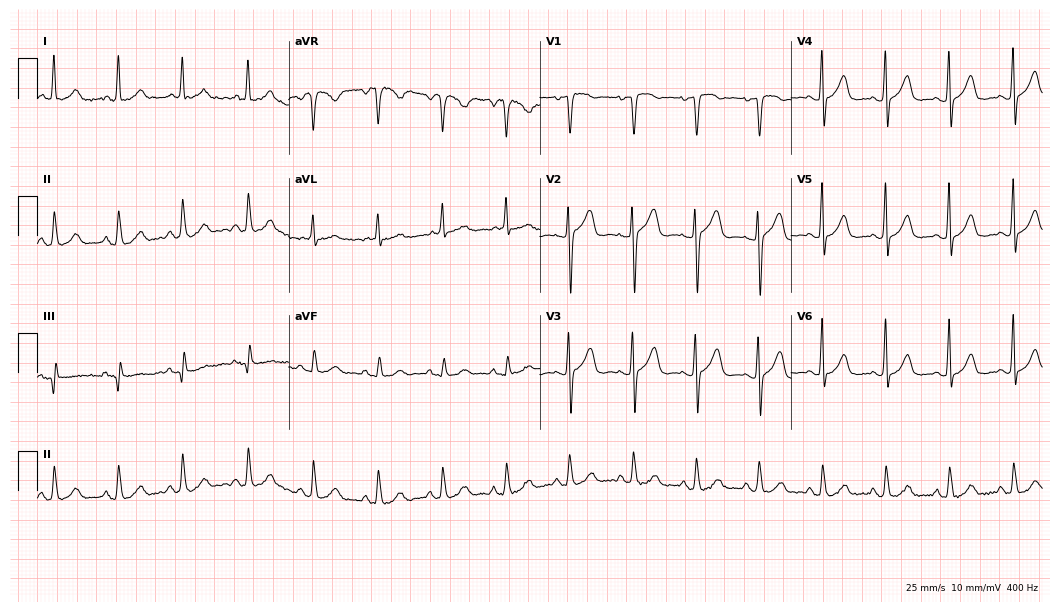
12-lead ECG from a woman, 70 years old. Labelled as a normal ECG.